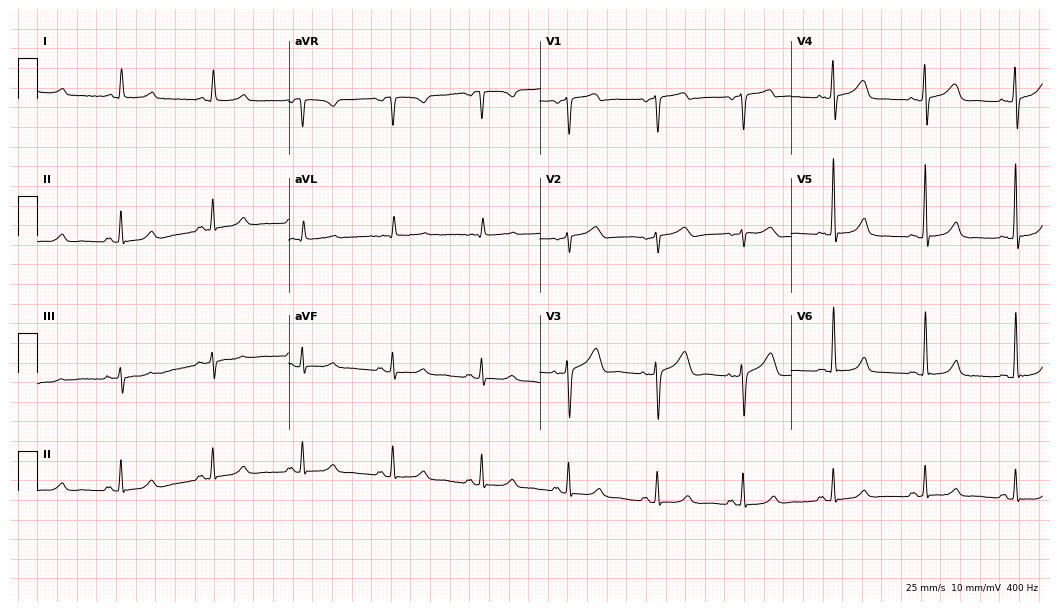
Electrocardiogram (10.2-second recording at 400 Hz), a 58-year-old female patient. Overall reading on record: normal ECG.